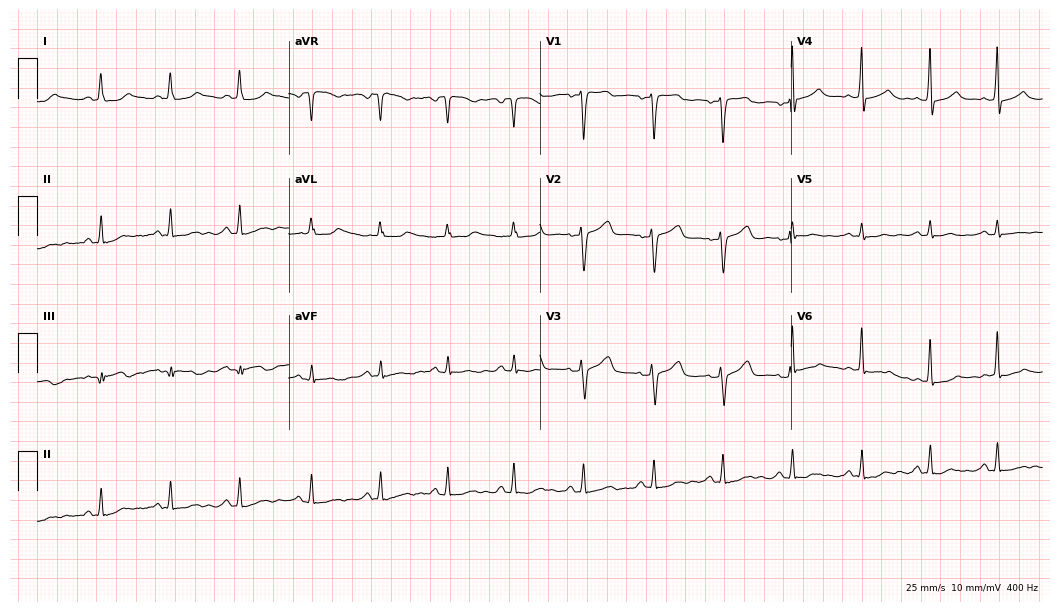
Electrocardiogram, a female, 23 years old. Overall reading on record: normal ECG.